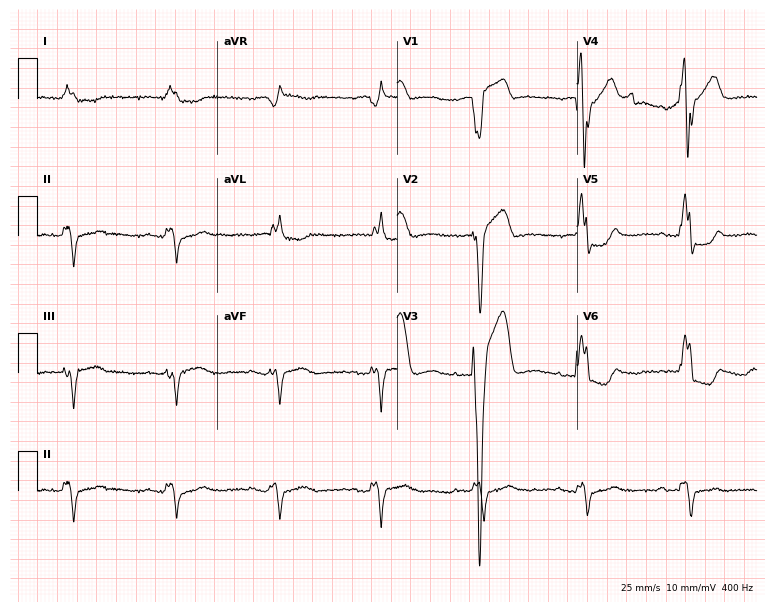
Electrocardiogram, a female patient, 82 years old. Interpretation includes left bundle branch block.